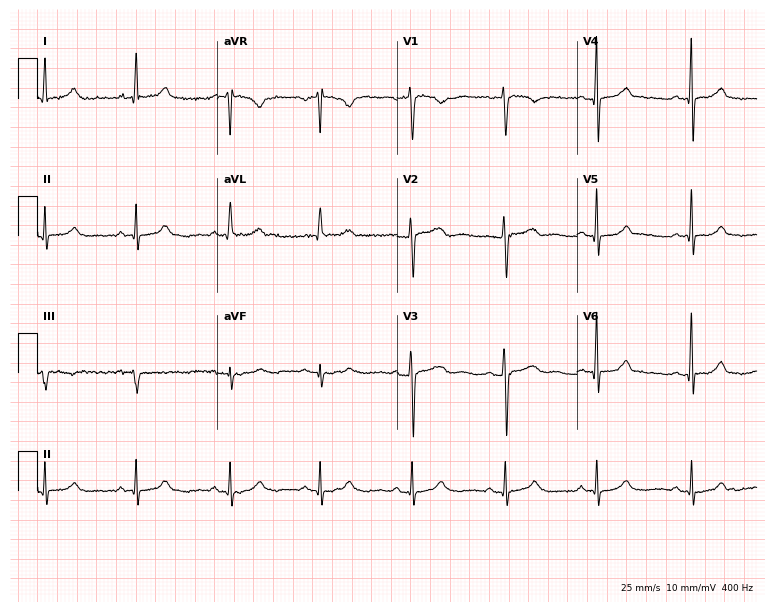
12-lead ECG from a 46-year-old woman. Labelled as a normal ECG.